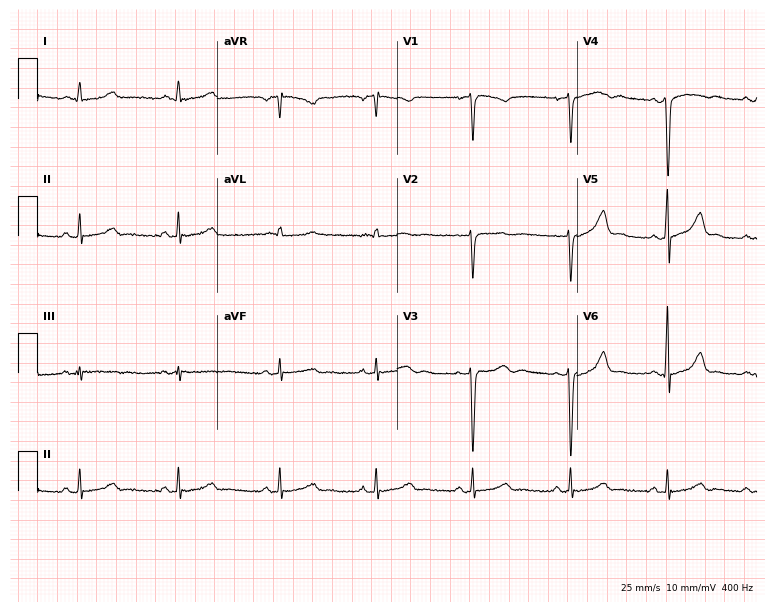
Electrocardiogram, a female, 38 years old. Overall reading on record: normal ECG.